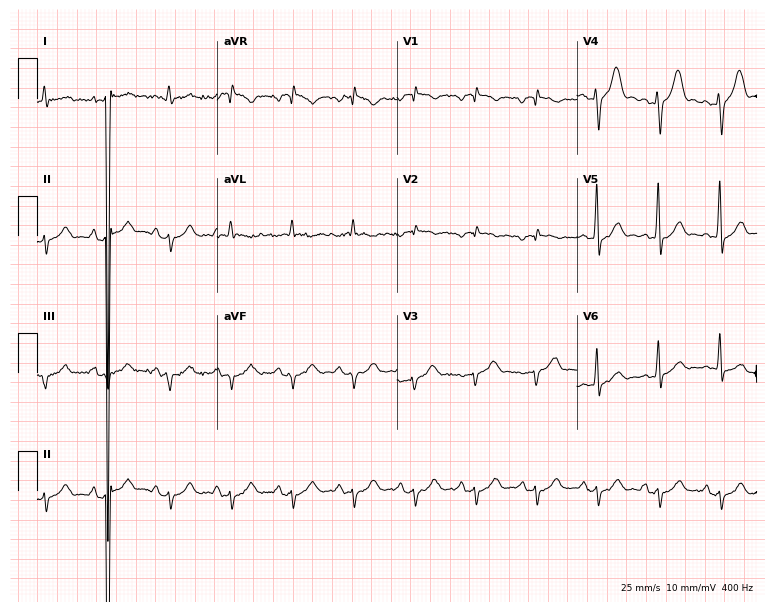
12-lead ECG from a 64-year-old man. No first-degree AV block, right bundle branch block, left bundle branch block, sinus bradycardia, atrial fibrillation or sinus tachycardia recorded for this tracing.